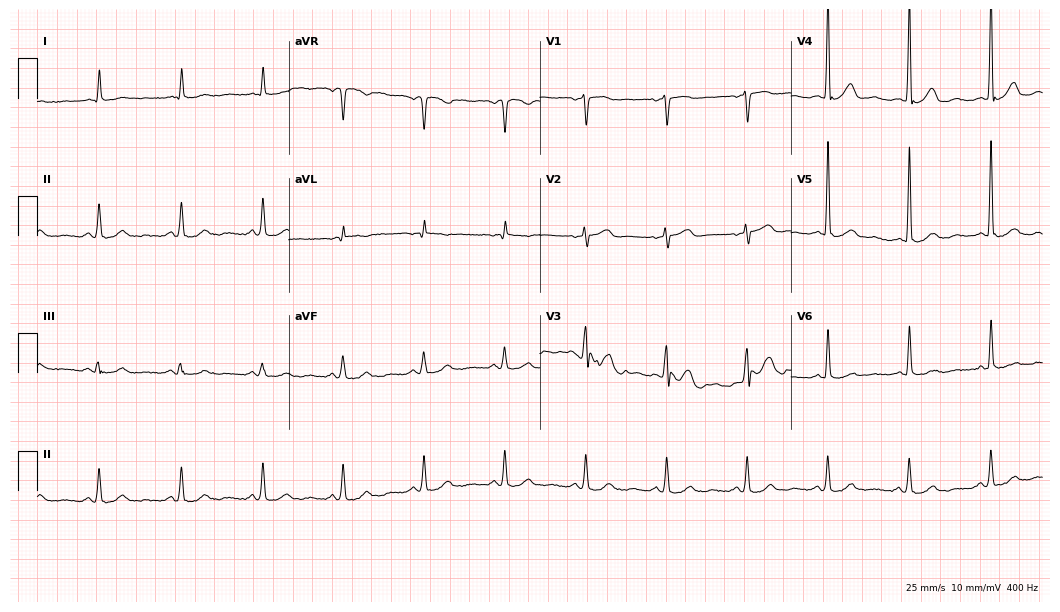
Electrocardiogram (10.2-second recording at 400 Hz), a 78-year-old man. Of the six screened findings (first-degree AV block, right bundle branch block, left bundle branch block, sinus bradycardia, atrial fibrillation, sinus tachycardia), none is recorded.